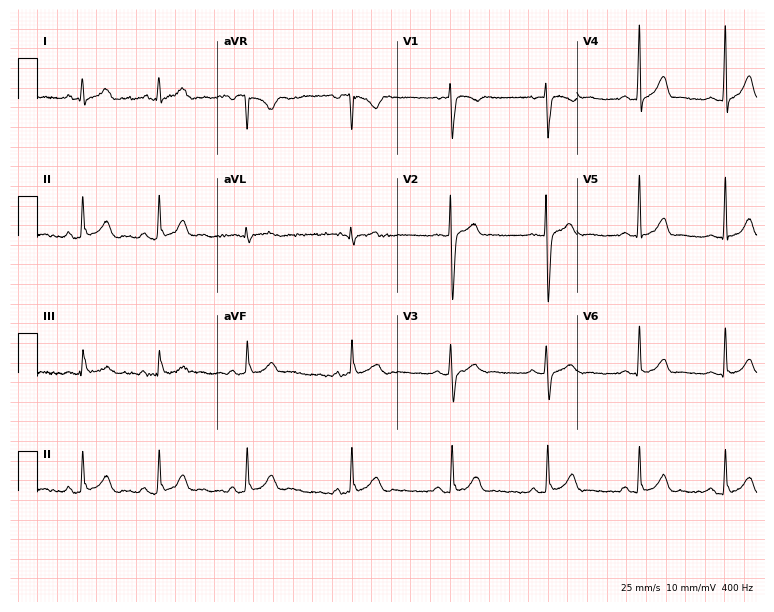
Standard 12-lead ECG recorded from a man, 23 years old (7.3-second recording at 400 Hz). Read as a normal ECG.